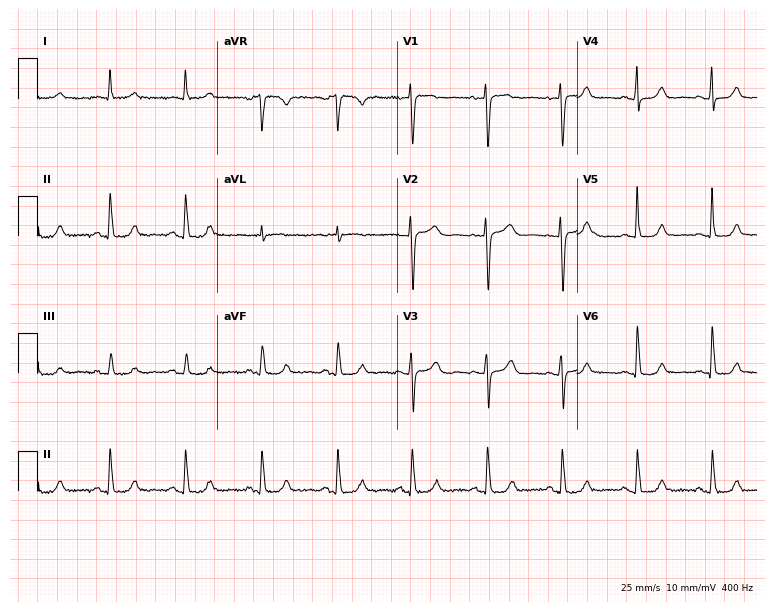
Electrocardiogram, a female patient, 74 years old. Overall reading on record: normal ECG.